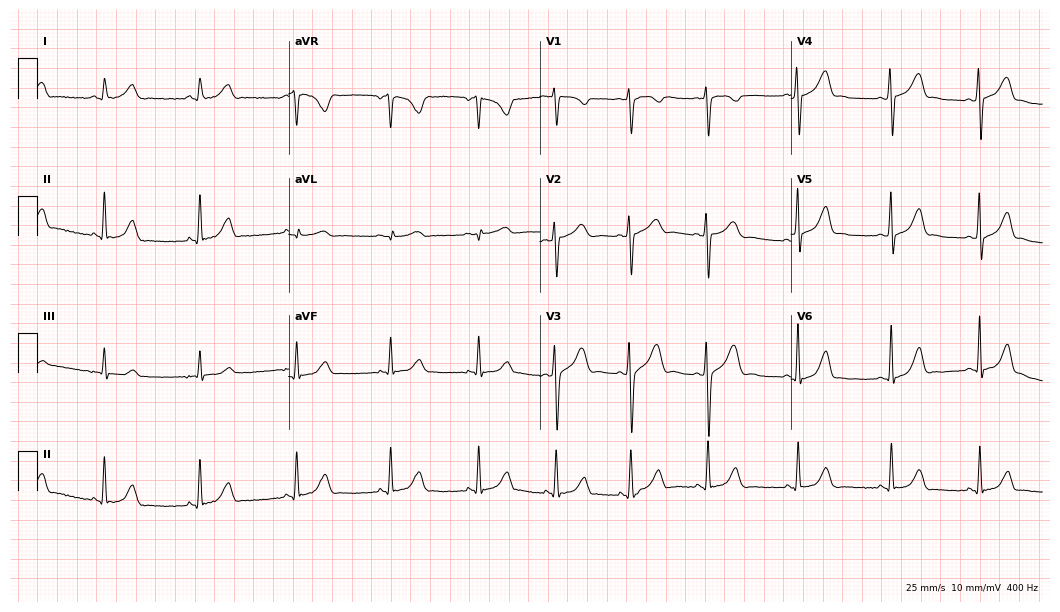
Electrocardiogram, a 26-year-old woman. Overall reading on record: normal ECG.